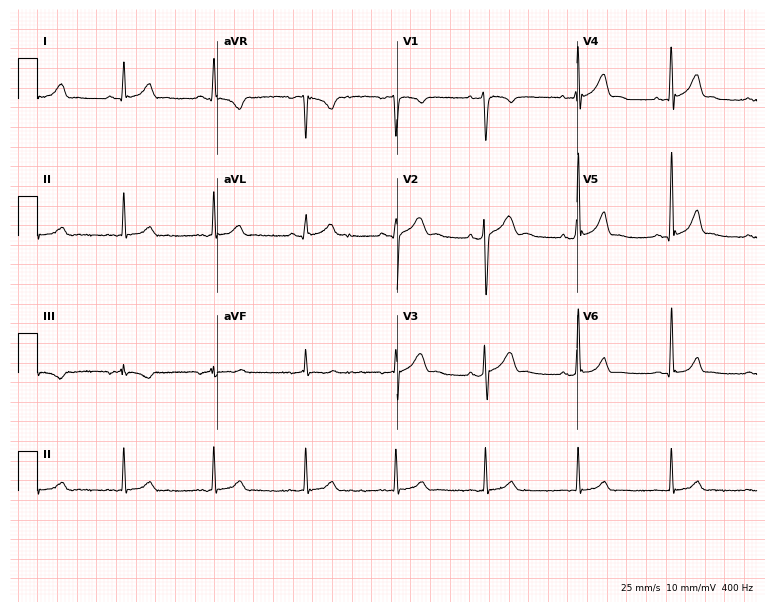
12-lead ECG from a male patient, 34 years old (7.3-second recording at 400 Hz). No first-degree AV block, right bundle branch block (RBBB), left bundle branch block (LBBB), sinus bradycardia, atrial fibrillation (AF) or sinus tachycardia recorded for this tracing.